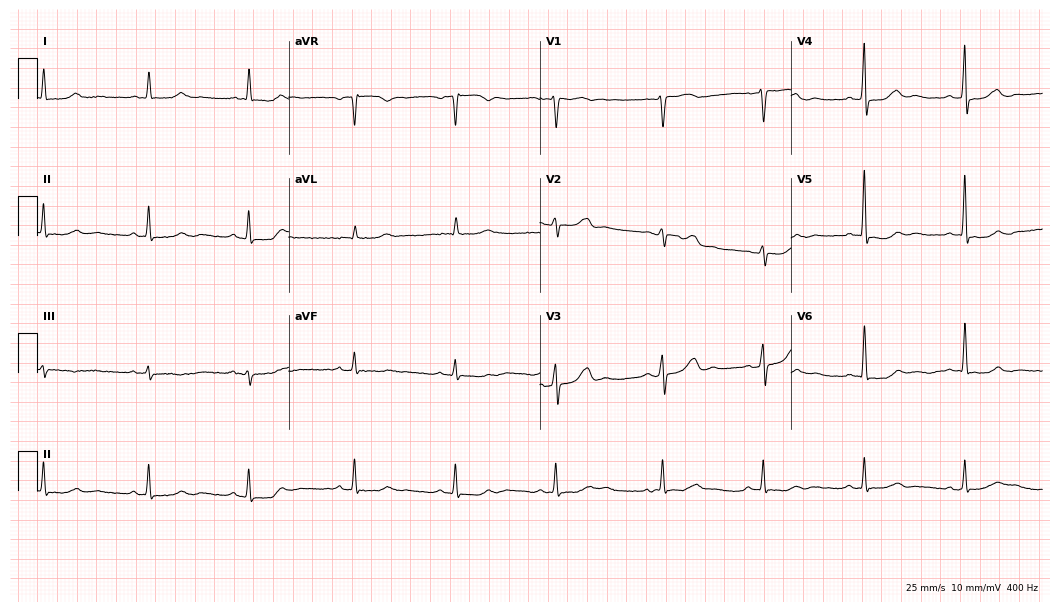
Standard 12-lead ECG recorded from a 61-year-old female patient. None of these six findings is recorded: first-degree AV block, right bundle branch block, left bundle branch block, sinus bradycardia, atrial fibrillation, sinus tachycardia. Other findings, if any, are not listed.